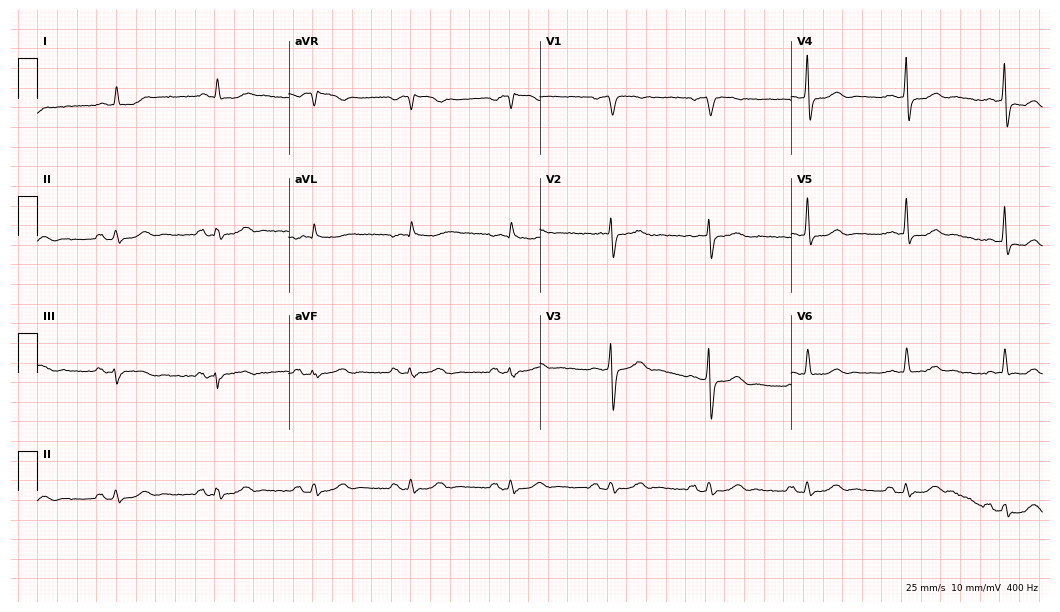
Electrocardiogram, a male, 82 years old. Of the six screened findings (first-degree AV block, right bundle branch block, left bundle branch block, sinus bradycardia, atrial fibrillation, sinus tachycardia), none is recorded.